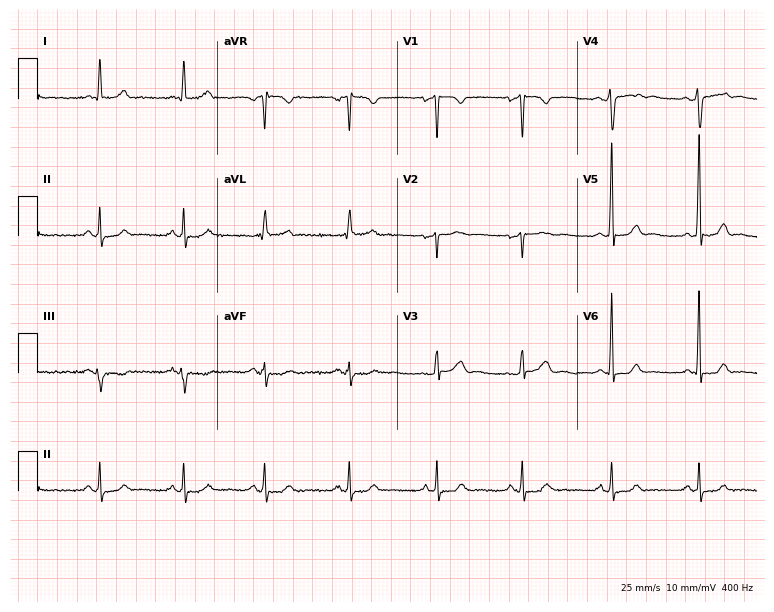
Standard 12-lead ECG recorded from a woman, 45 years old (7.3-second recording at 400 Hz). None of these six findings is recorded: first-degree AV block, right bundle branch block (RBBB), left bundle branch block (LBBB), sinus bradycardia, atrial fibrillation (AF), sinus tachycardia.